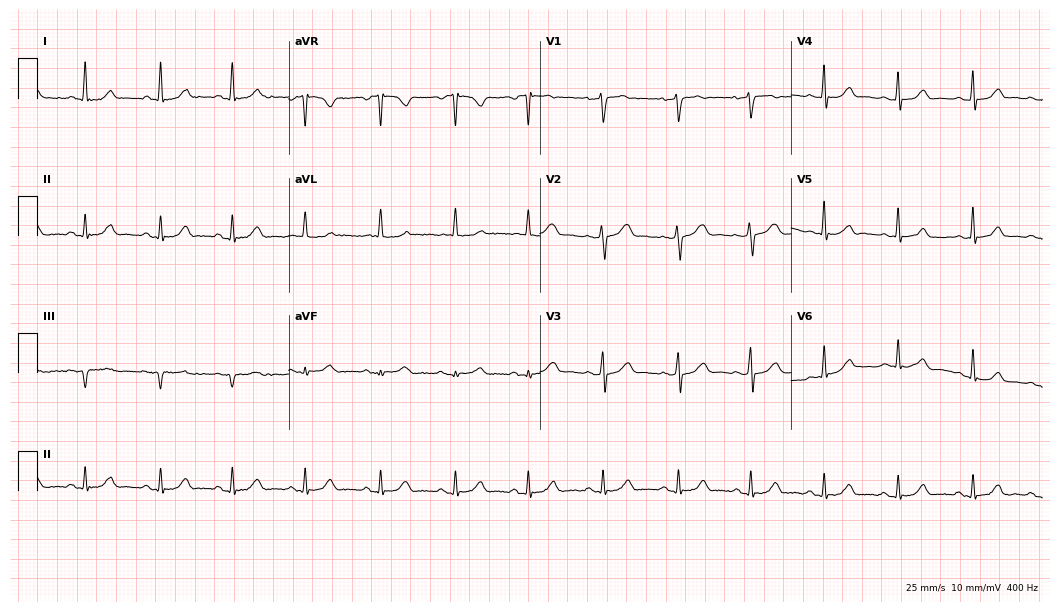
12-lead ECG from a 47-year-old woman. Labelled as a normal ECG.